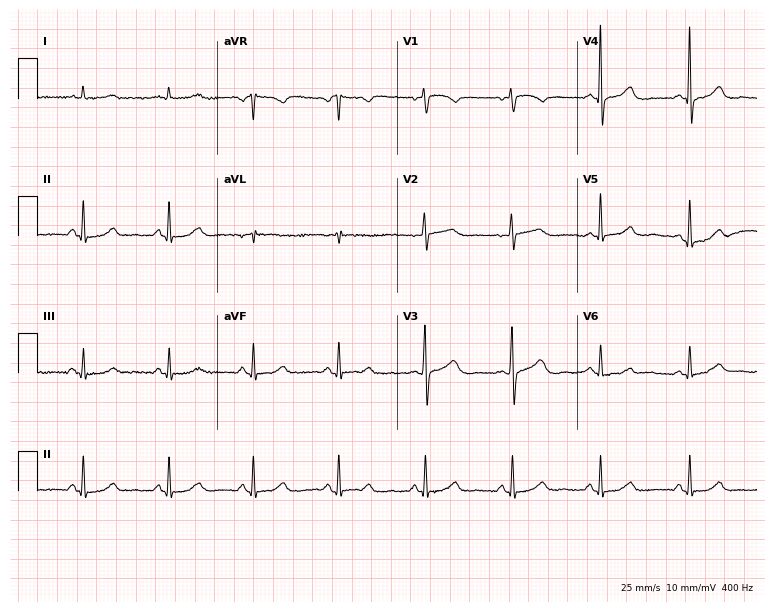
Standard 12-lead ECG recorded from a 74-year-old female (7.3-second recording at 400 Hz). None of these six findings is recorded: first-degree AV block, right bundle branch block, left bundle branch block, sinus bradycardia, atrial fibrillation, sinus tachycardia.